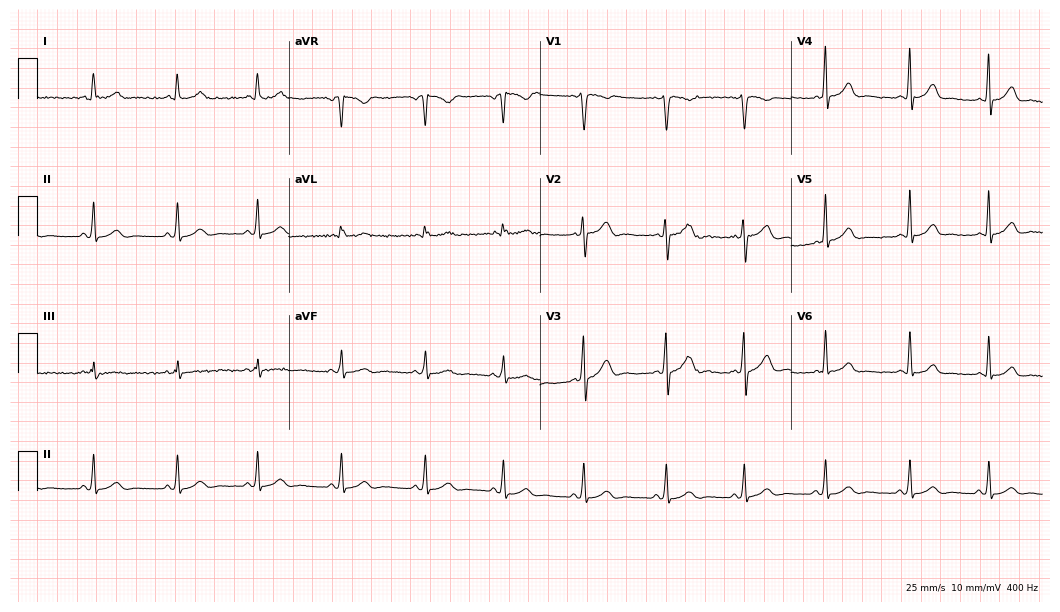
ECG (10.2-second recording at 400 Hz) — a 32-year-old female patient. Screened for six findings — first-degree AV block, right bundle branch block, left bundle branch block, sinus bradycardia, atrial fibrillation, sinus tachycardia — none is recorded.